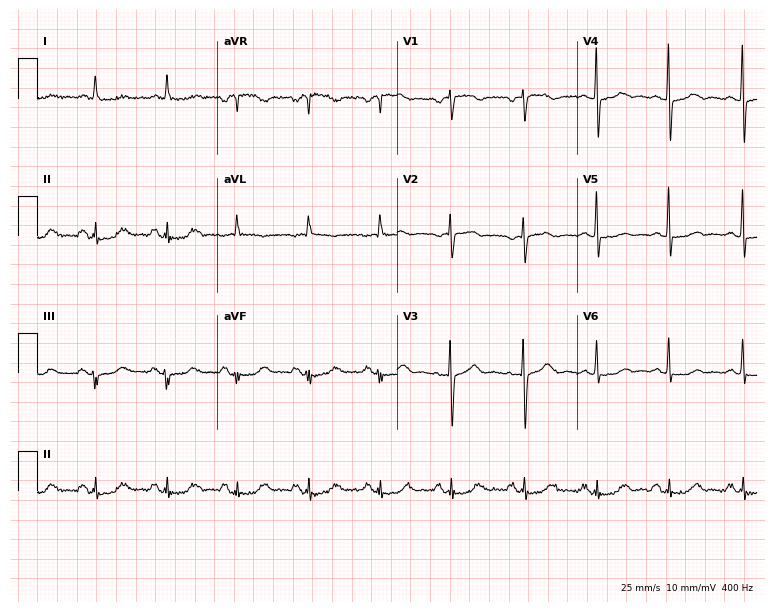
Electrocardiogram (7.3-second recording at 400 Hz), a female, 84 years old. Of the six screened findings (first-degree AV block, right bundle branch block (RBBB), left bundle branch block (LBBB), sinus bradycardia, atrial fibrillation (AF), sinus tachycardia), none is recorded.